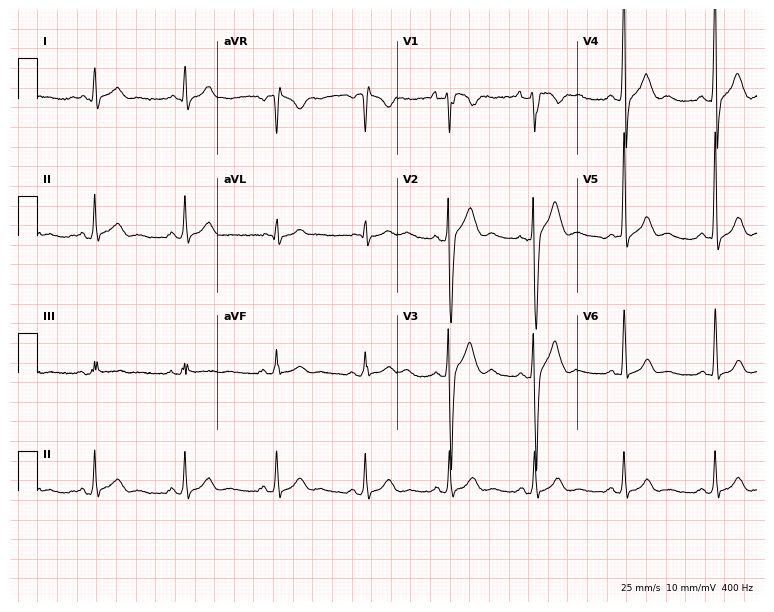
Electrocardiogram (7.3-second recording at 400 Hz), a man, 30 years old. Overall reading on record: normal ECG.